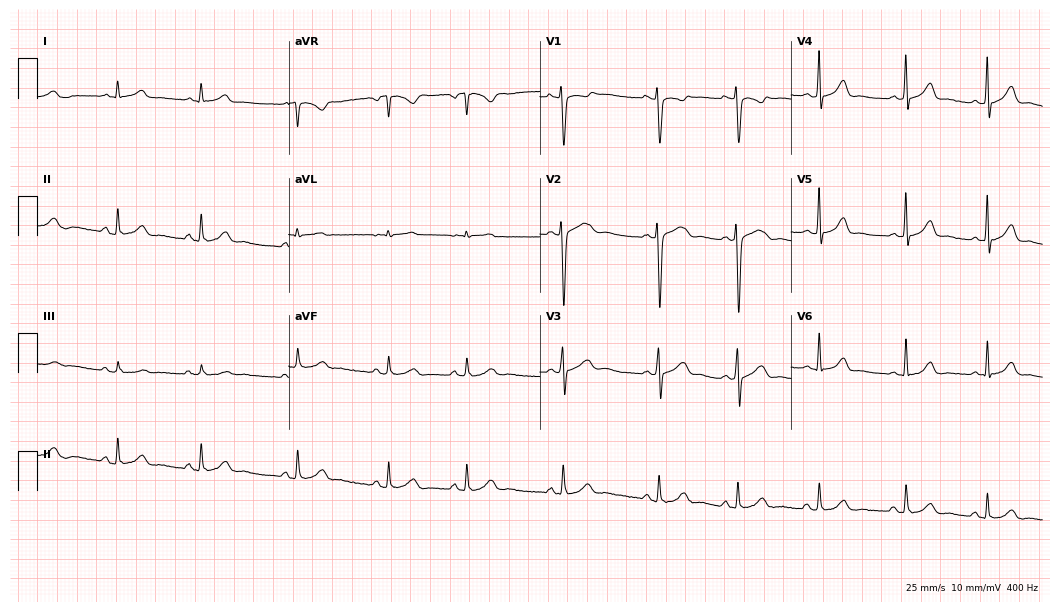
Resting 12-lead electrocardiogram (10.2-second recording at 400 Hz). Patient: a 20-year-old woman. Read as a normal ECG.